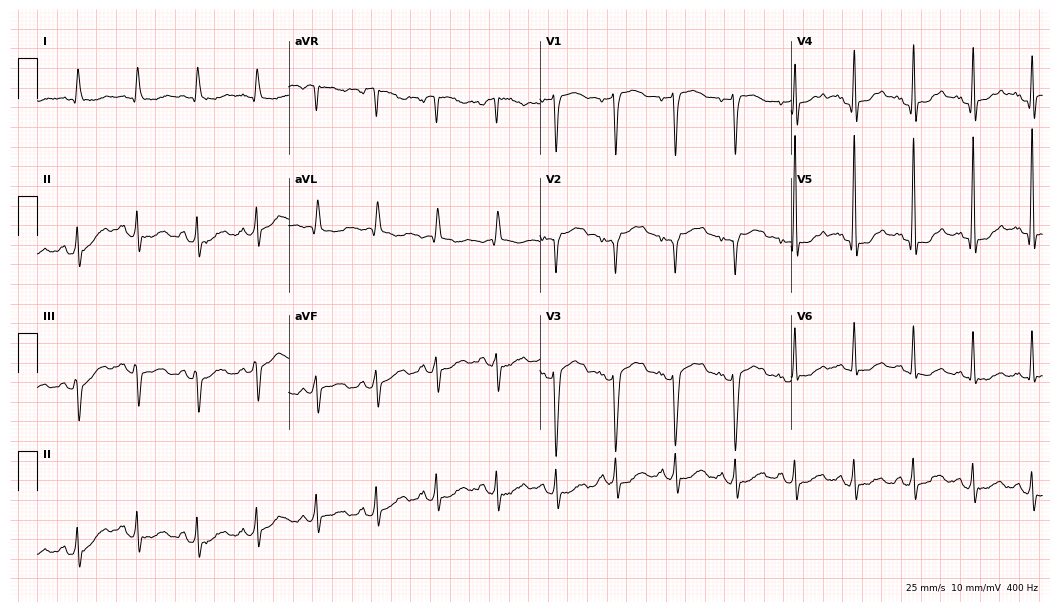
ECG — a 74-year-old woman. Screened for six findings — first-degree AV block, right bundle branch block (RBBB), left bundle branch block (LBBB), sinus bradycardia, atrial fibrillation (AF), sinus tachycardia — none is recorded.